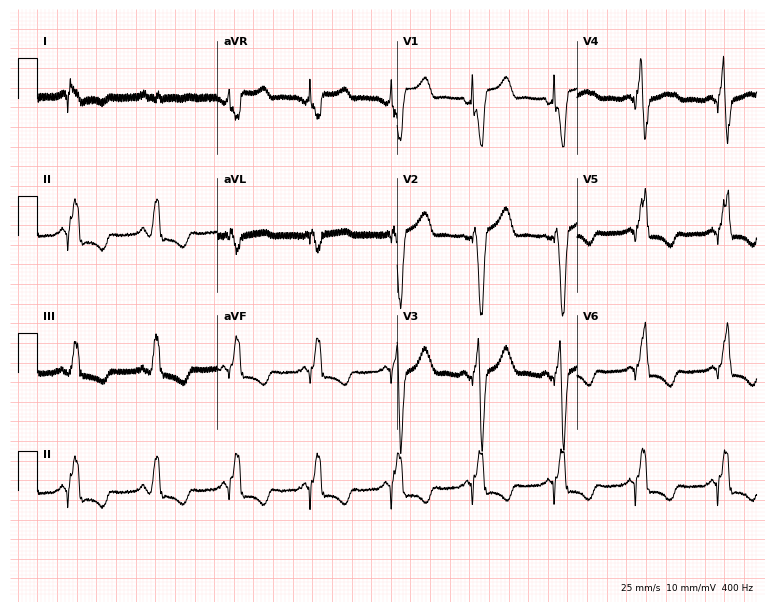
ECG — a 44-year-old male. Screened for six findings — first-degree AV block, right bundle branch block, left bundle branch block, sinus bradycardia, atrial fibrillation, sinus tachycardia — none is recorded. Only these six findings were labelled.